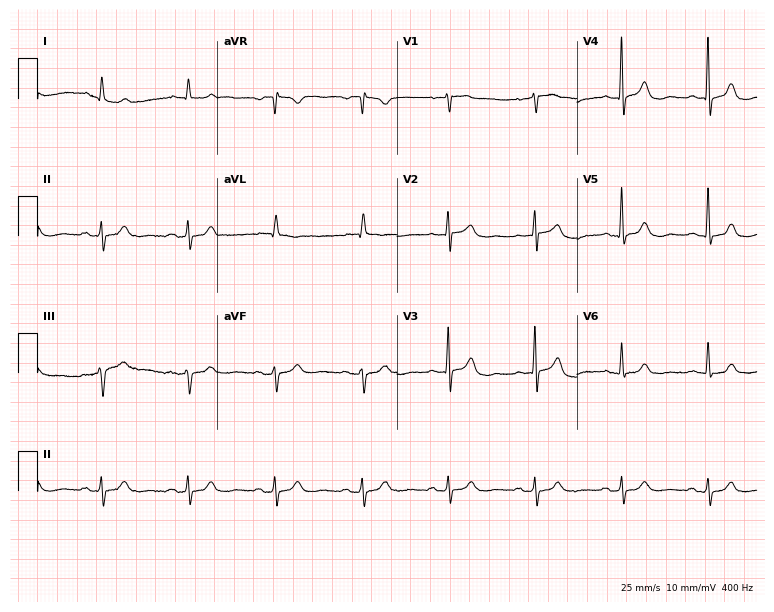
Resting 12-lead electrocardiogram (7.3-second recording at 400 Hz). Patient: a 78-year-old man. Read as a normal ECG.